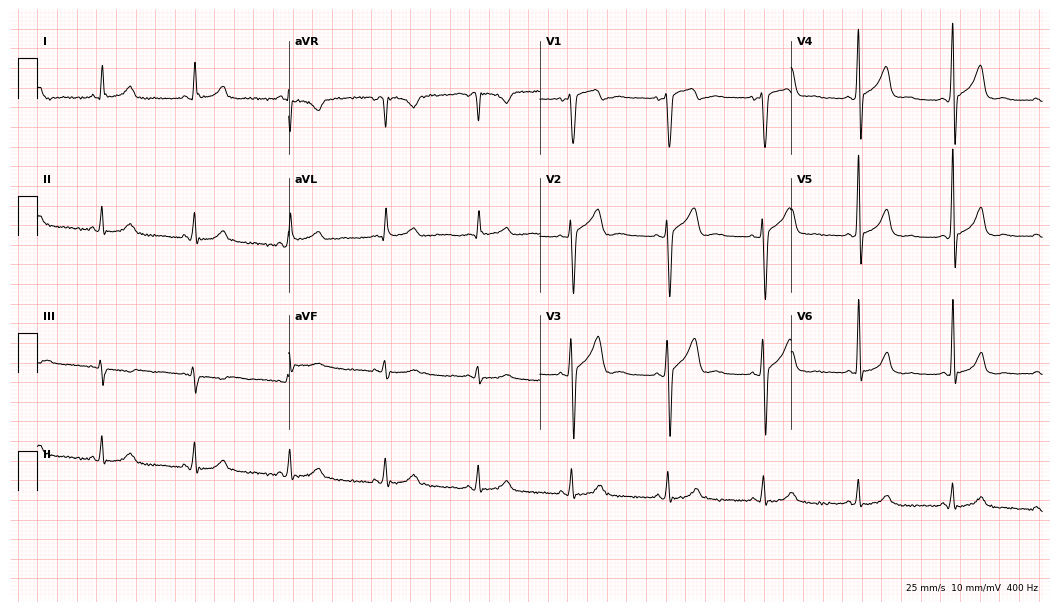
Electrocardiogram, a male patient, 47 years old. Of the six screened findings (first-degree AV block, right bundle branch block (RBBB), left bundle branch block (LBBB), sinus bradycardia, atrial fibrillation (AF), sinus tachycardia), none is recorded. Only these six findings were labelled.